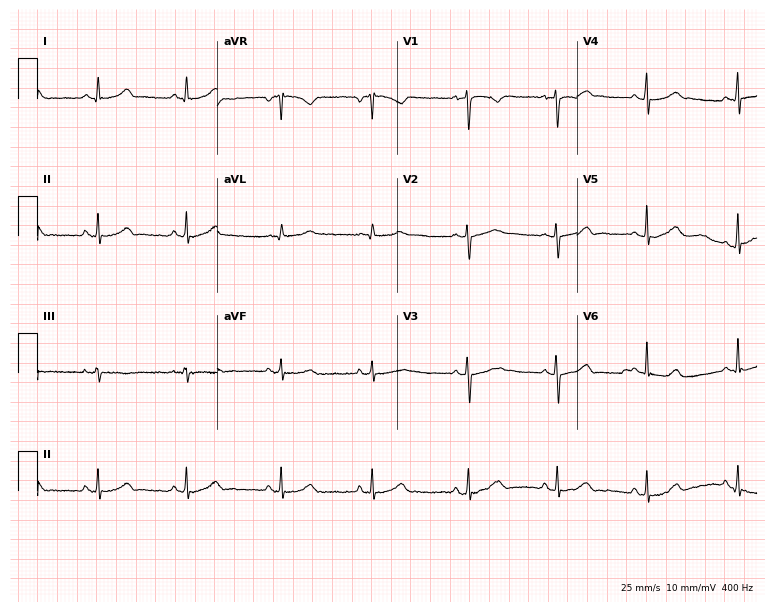
ECG — an 18-year-old female. Labelled as a normal ECG.